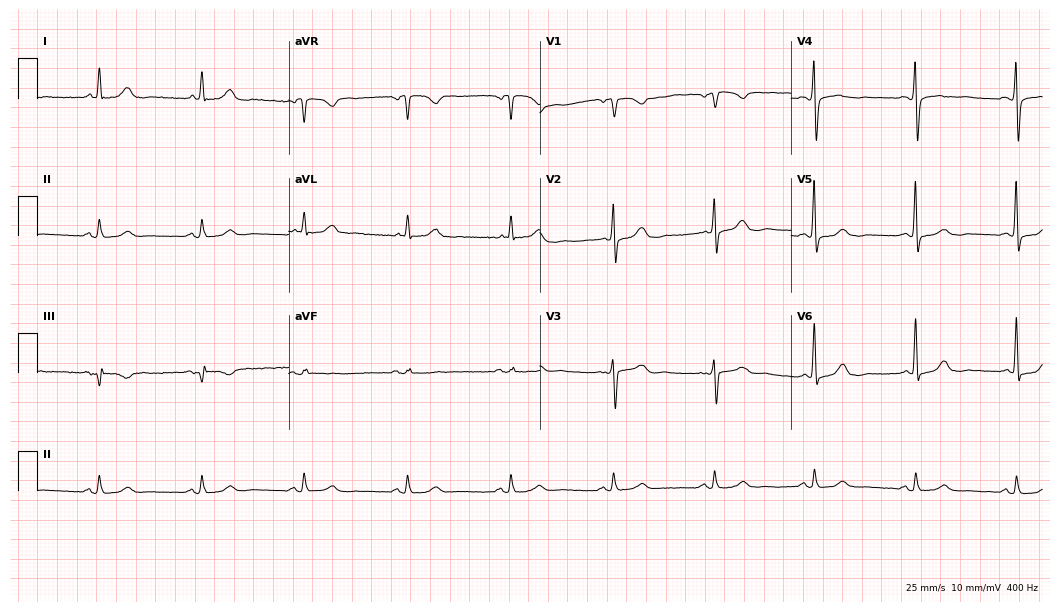
Standard 12-lead ECG recorded from a woman, 58 years old. Read as a normal ECG.